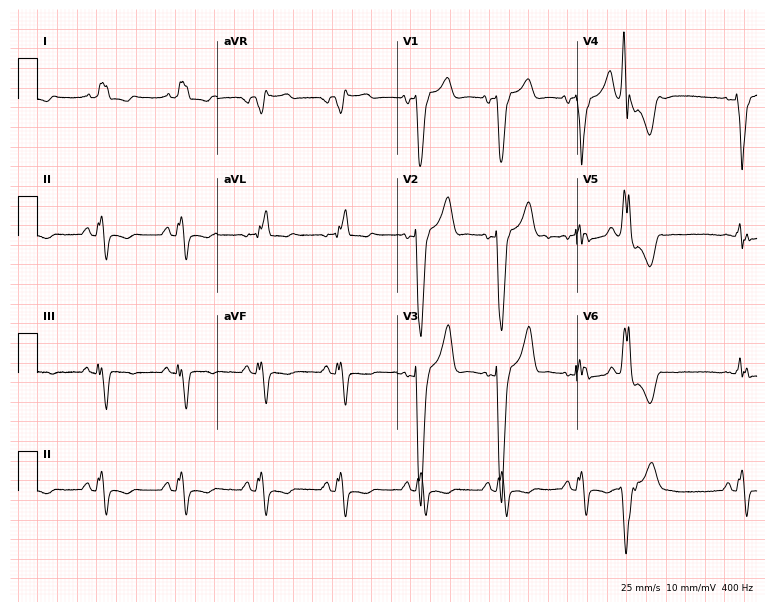
Resting 12-lead electrocardiogram (7.3-second recording at 400 Hz). Patient: a 61-year-old male. None of these six findings is recorded: first-degree AV block, right bundle branch block, left bundle branch block, sinus bradycardia, atrial fibrillation, sinus tachycardia.